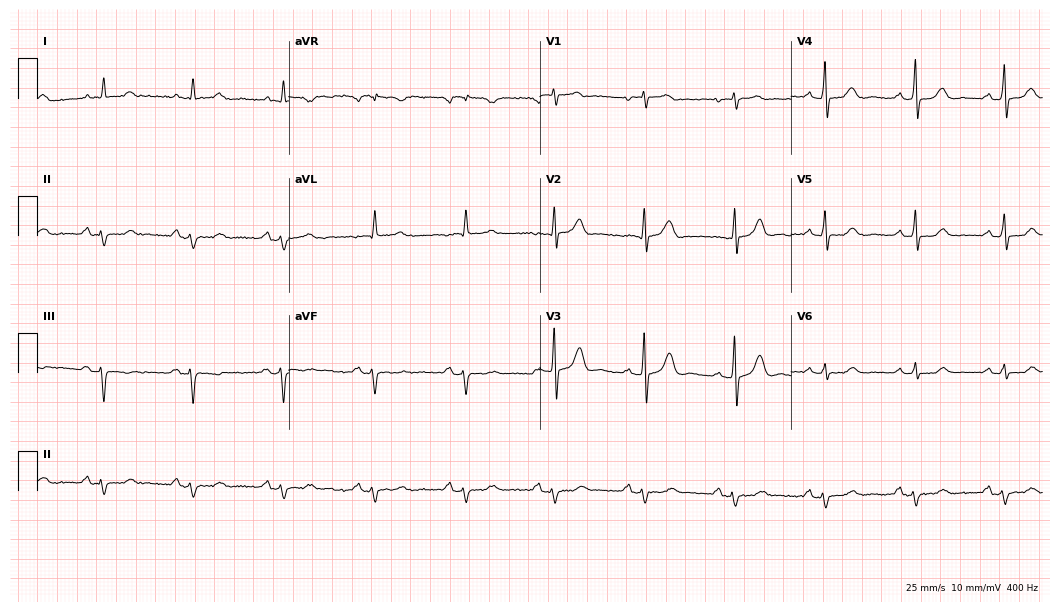
12-lead ECG from a 74-year-old male (10.2-second recording at 400 Hz). No first-degree AV block, right bundle branch block (RBBB), left bundle branch block (LBBB), sinus bradycardia, atrial fibrillation (AF) or sinus tachycardia recorded for this tracing. Findings outside these six are not listed.